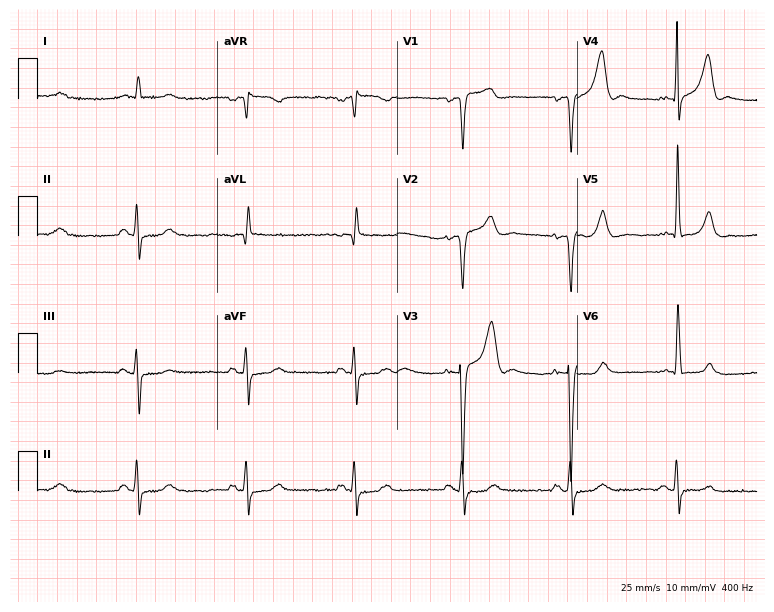
12-lead ECG from a 78-year-old male. No first-degree AV block, right bundle branch block (RBBB), left bundle branch block (LBBB), sinus bradycardia, atrial fibrillation (AF) or sinus tachycardia recorded for this tracing.